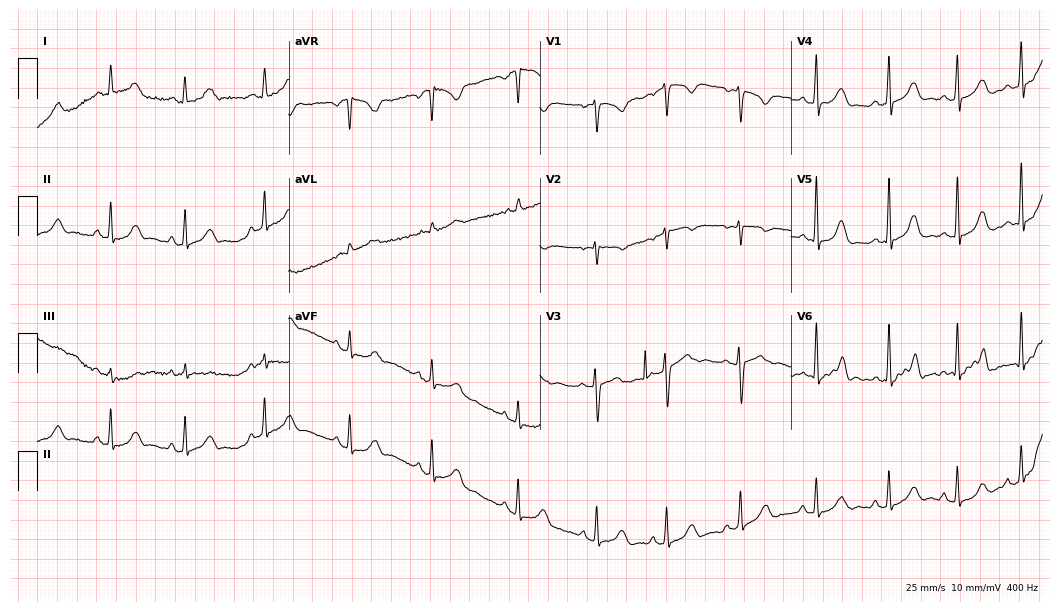
12-lead ECG from a woman, 20 years old (10.2-second recording at 400 Hz). Recorded interpretation: within normal limits.